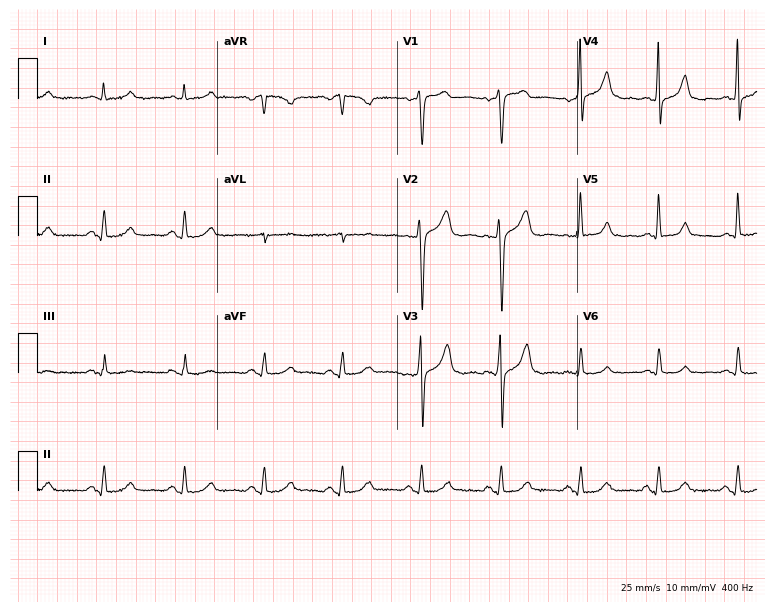
12-lead ECG (7.3-second recording at 400 Hz) from a 61-year-old male. Labelled as a normal ECG.